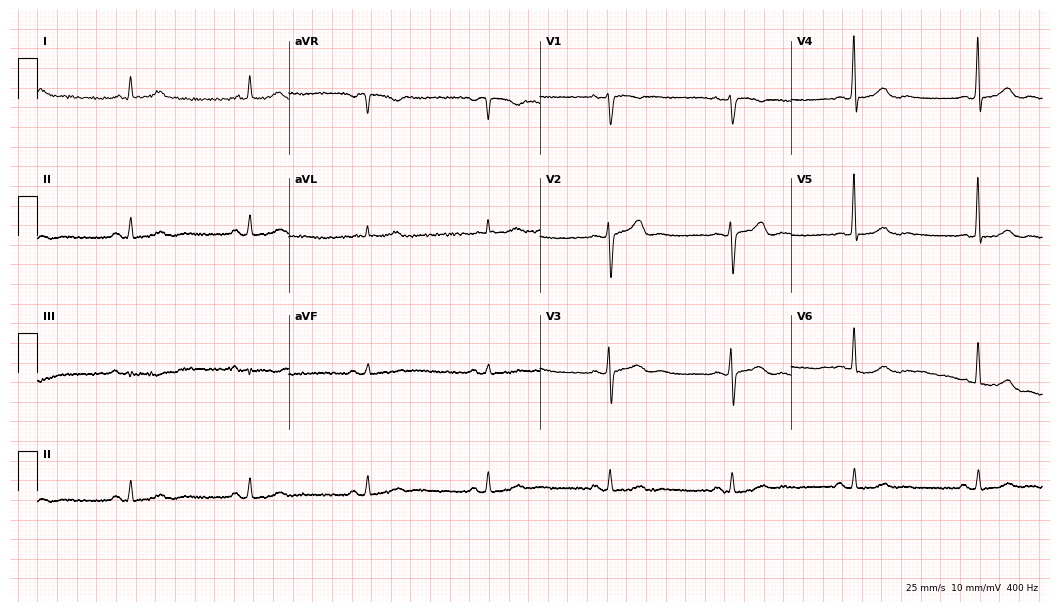
Resting 12-lead electrocardiogram (10.2-second recording at 400 Hz). Patient: a 58-year-old female. The tracing shows sinus bradycardia (a sinus rate of 50 beats per minute or less).